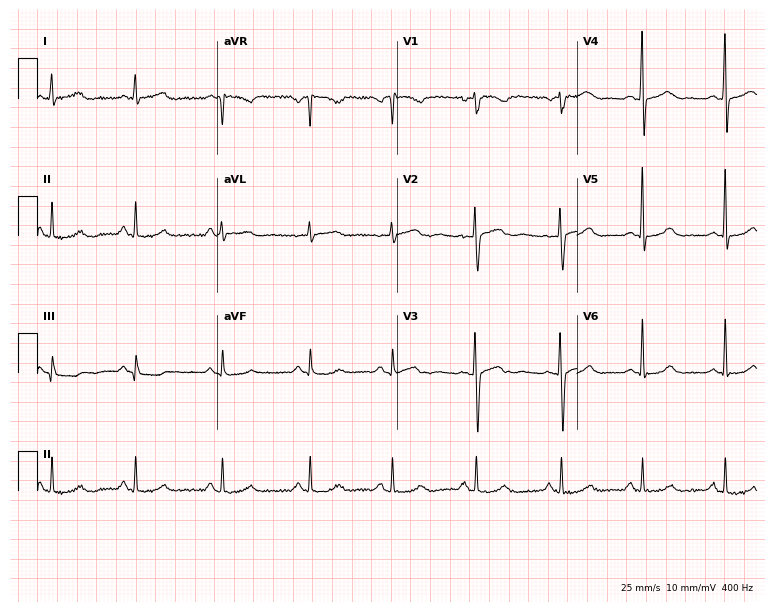
Resting 12-lead electrocardiogram. Patient: a 28-year-old female. None of these six findings is recorded: first-degree AV block, right bundle branch block, left bundle branch block, sinus bradycardia, atrial fibrillation, sinus tachycardia. Findings outside these six are not listed.